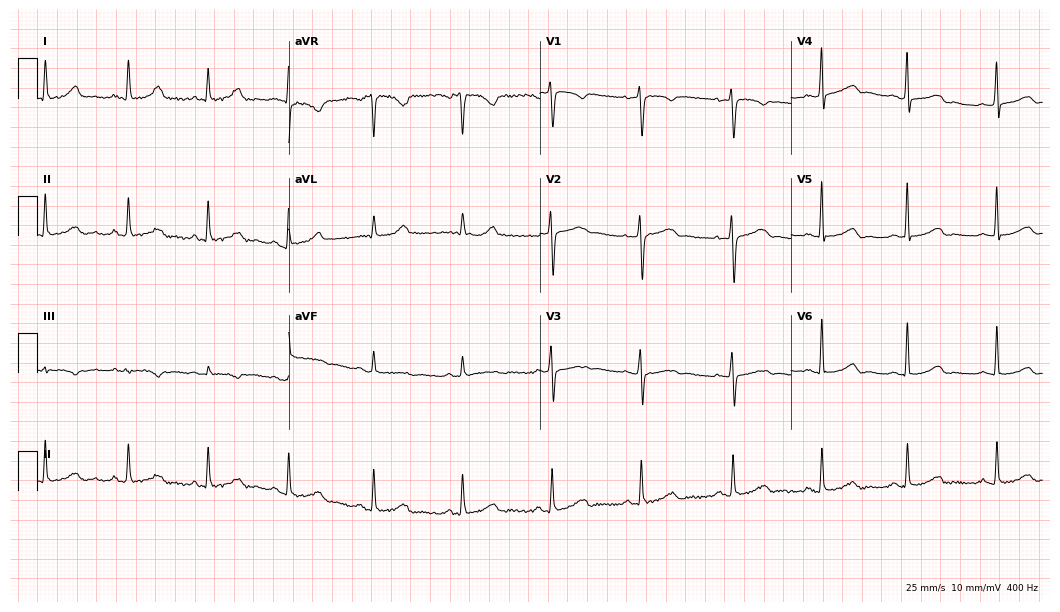
Resting 12-lead electrocardiogram (10.2-second recording at 400 Hz). Patient: a female, 52 years old. Read as a normal ECG.